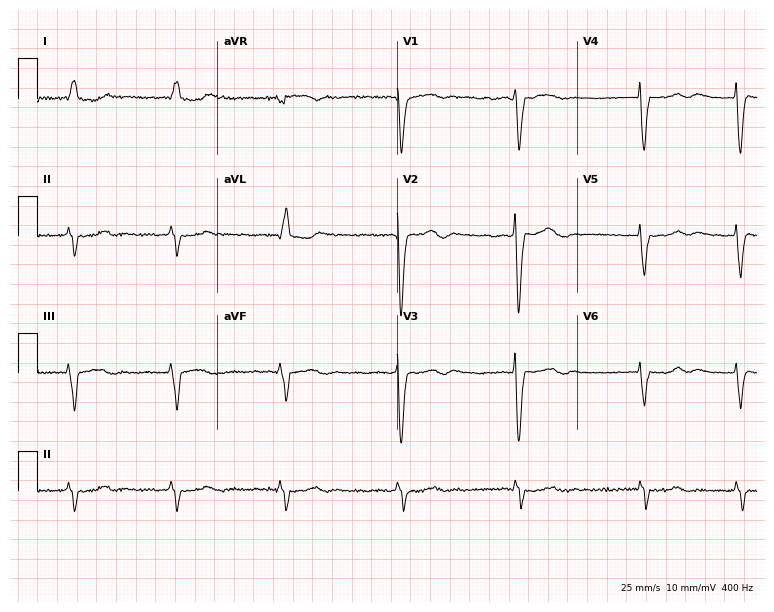
Electrocardiogram (7.3-second recording at 400 Hz), an 82-year-old female. Interpretation includes atrial fibrillation.